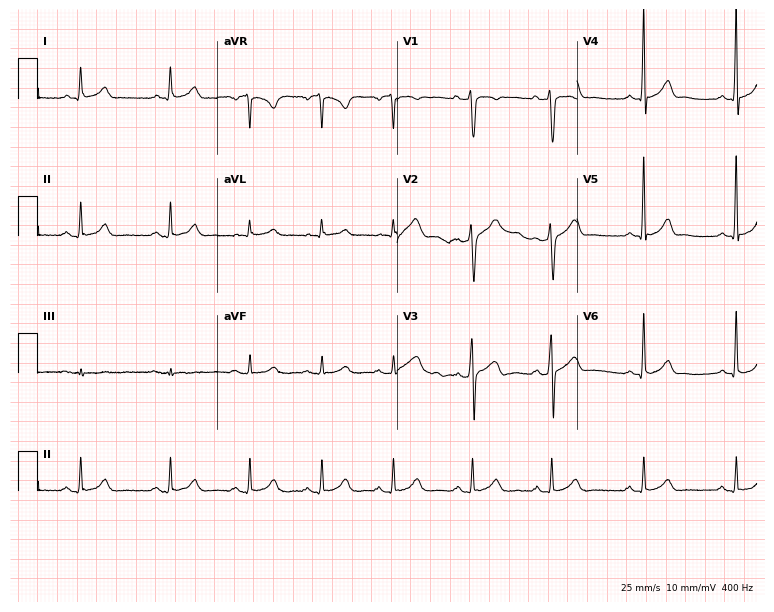
Electrocardiogram (7.3-second recording at 400 Hz), a 40-year-old male patient. Of the six screened findings (first-degree AV block, right bundle branch block (RBBB), left bundle branch block (LBBB), sinus bradycardia, atrial fibrillation (AF), sinus tachycardia), none is recorded. Other findings, if any, are not listed.